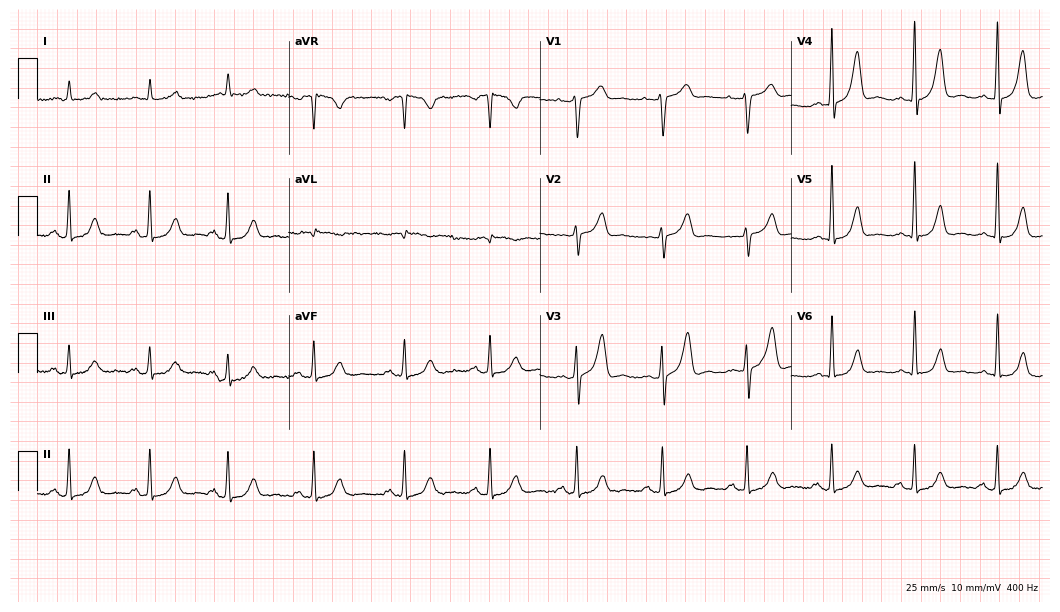
12-lead ECG from a male, 58 years old (10.2-second recording at 400 Hz). Recorded interpretation: within normal limits.